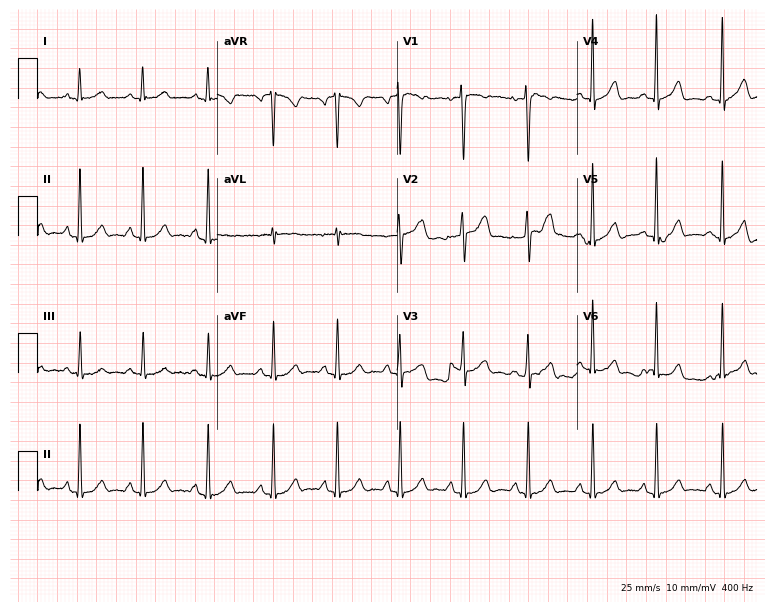
Standard 12-lead ECG recorded from a female patient, 24 years old (7.3-second recording at 400 Hz). Read as a normal ECG.